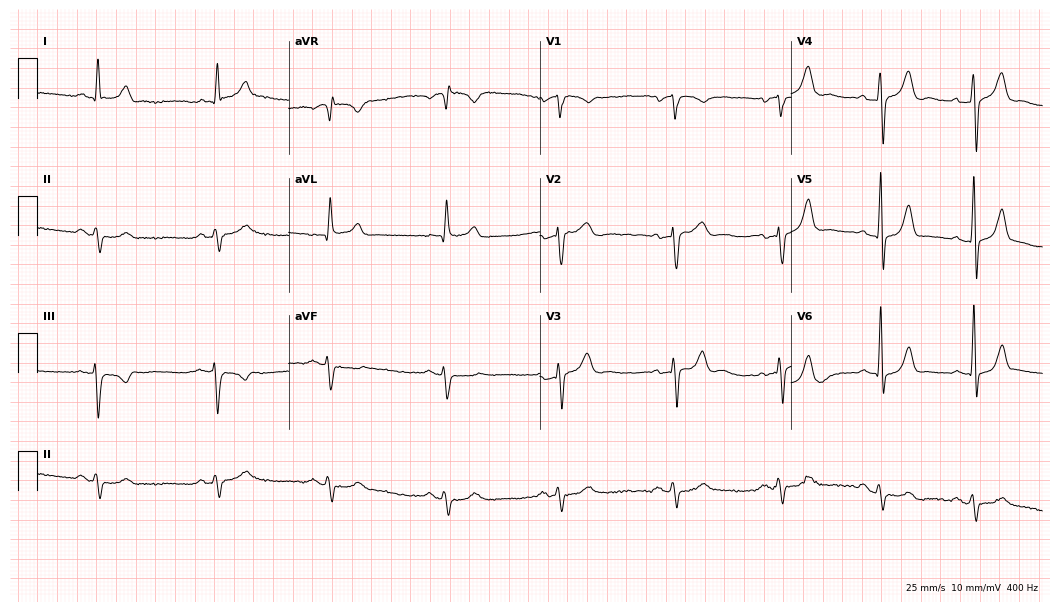
Electrocardiogram (10.2-second recording at 400 Hz), a 56-year-old male. Of the six screened findings (first-degree AV block, right bundle branch block, left bundle branch block, sinus bradycardia, atrial fibrillation, sinus tachycardia), none is recorded. Findings outside these six are not listed.